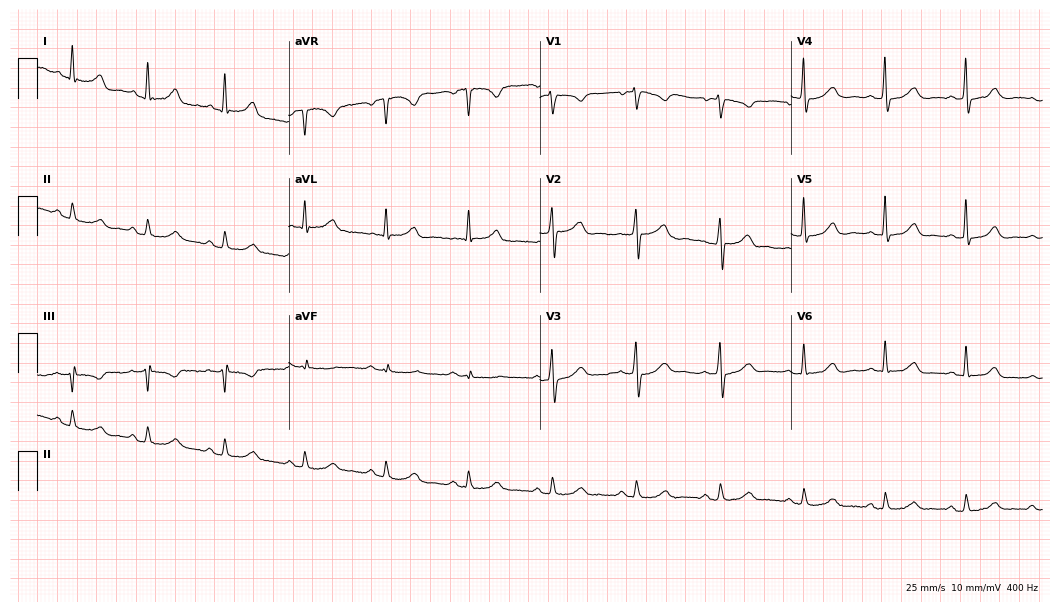
Standard 12-lead ECG recorded from a male patient, 70 years old (10.2-second recording at 400 Hz). Read as a normal ECG.